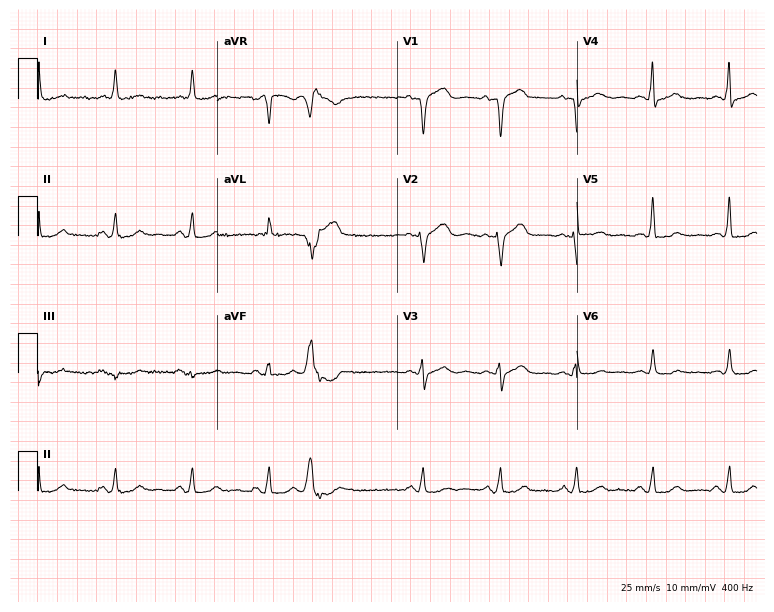
Electrocardiogram, an 81-year-old female patient. Of the six screened findings (first-degree AV block, right bundle branch block (RBBB), left bundle branch block (LBBB), sinus bradycardia, atrial fibrillation (AF), sinus tachycardia), none is recorded.